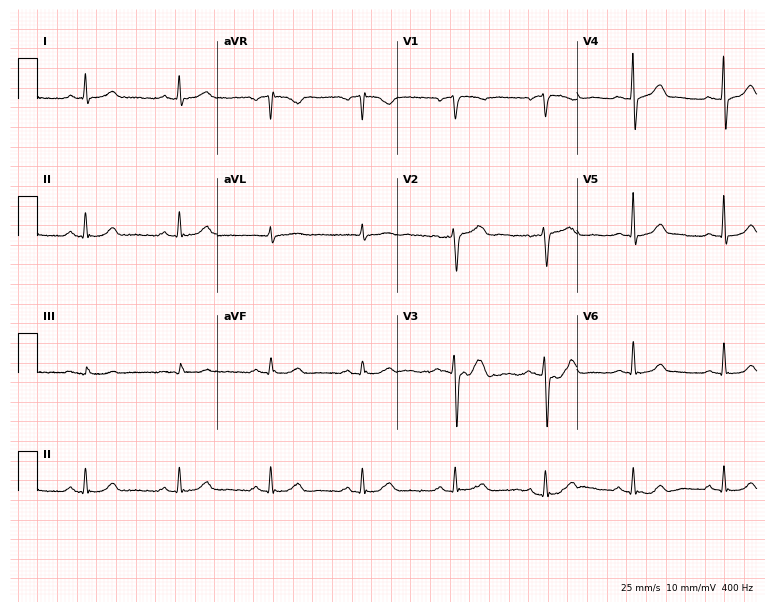
Resting 12-lead electrocardiogram. Patient: a man, 47 years old. Read as a normal ECG.